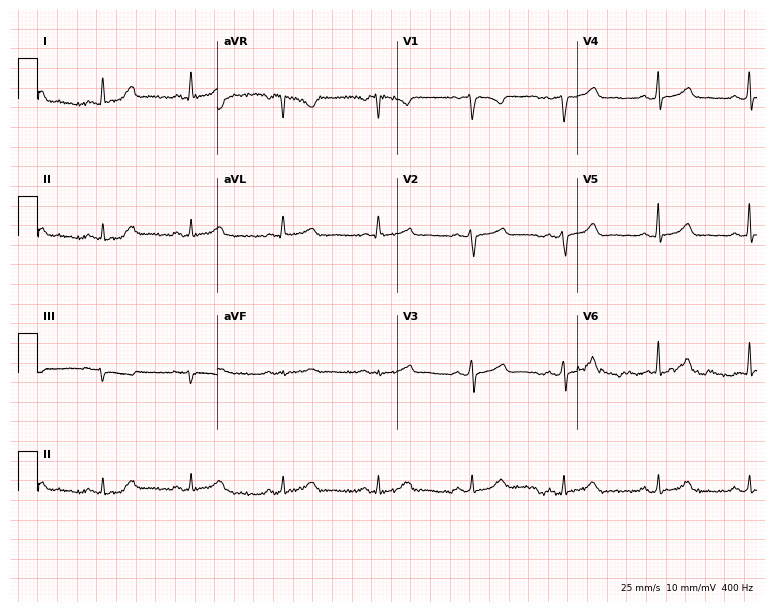
Electrocardiogram (7.3-second recording at 400 Hz), a female patient, 45 years old. Overall reading on record: normal ECG.